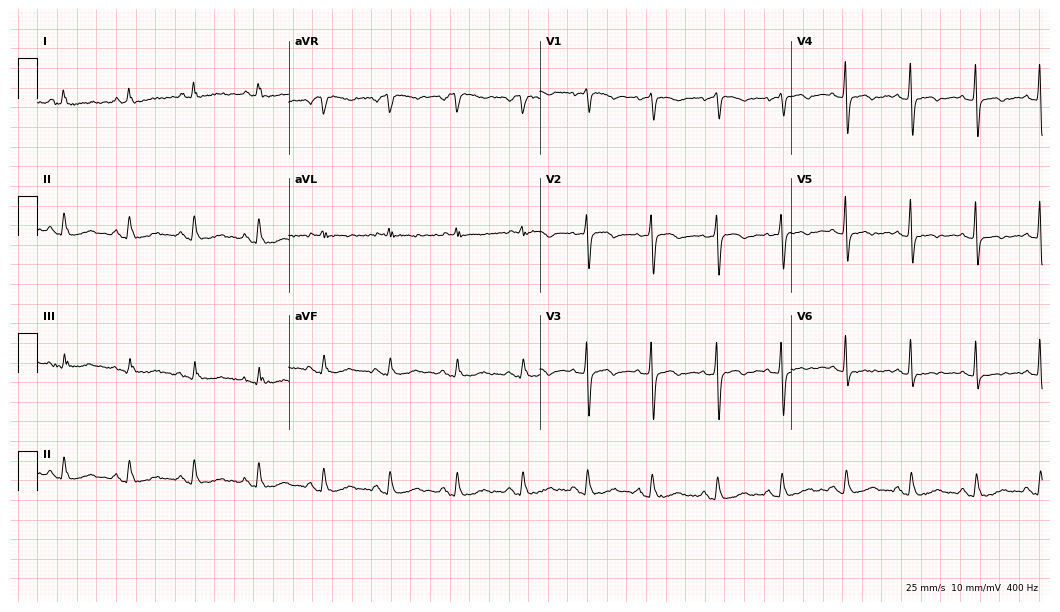
Electrocardiogram (10.2-second recording at 400 Hz), a 65-year-old female. Overall reading on record: normal ECG.